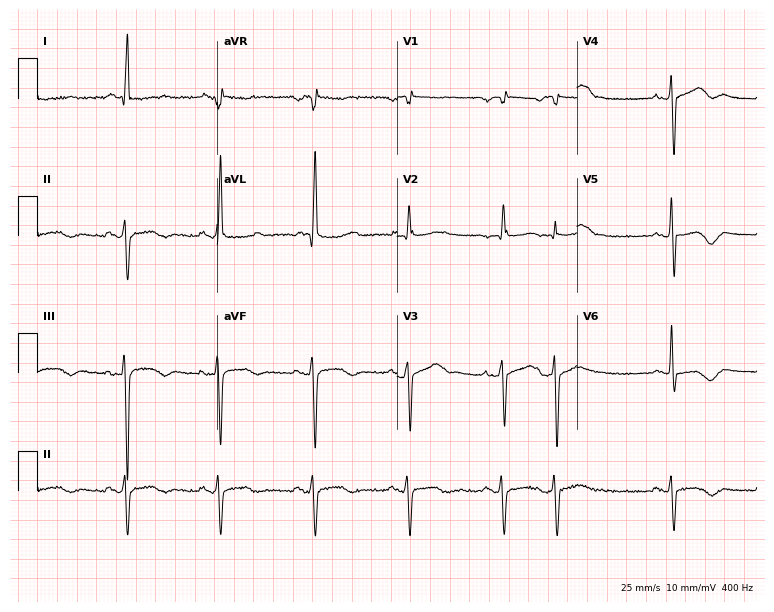
Standard 12-lead ECG recorded from a female, 75 years old (7.3-second recording at 400 Hz). None of these six findings is recorded: first-degree AV block, right bundle branch block (RBBB), left bundle branch block (LBBB), sinus bradycardia, atrial fibrillation (AF), sinus tachycardia.